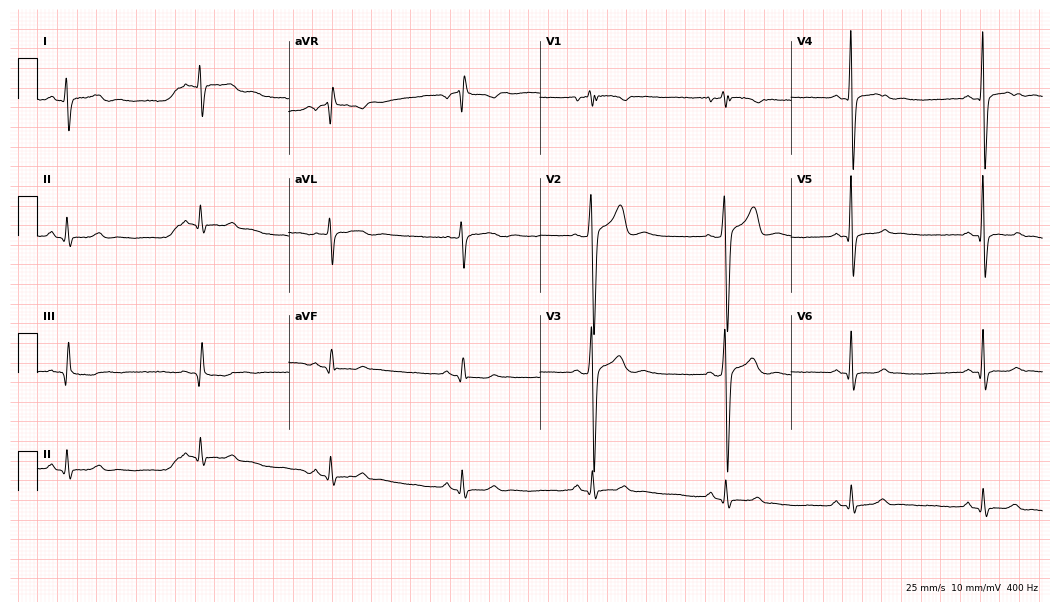
Electrocardiogram (10.2-second recording at 400 Hz), a 31-year-old male. Of the six screened findings (first-degree AV block, right bundle branch block (RBBB), left bundle branch block (LBBB), sinus bradycardia, atrial fibrillation (AF), sinus tachycardia), none is recorded. Only these six findings were labelled.